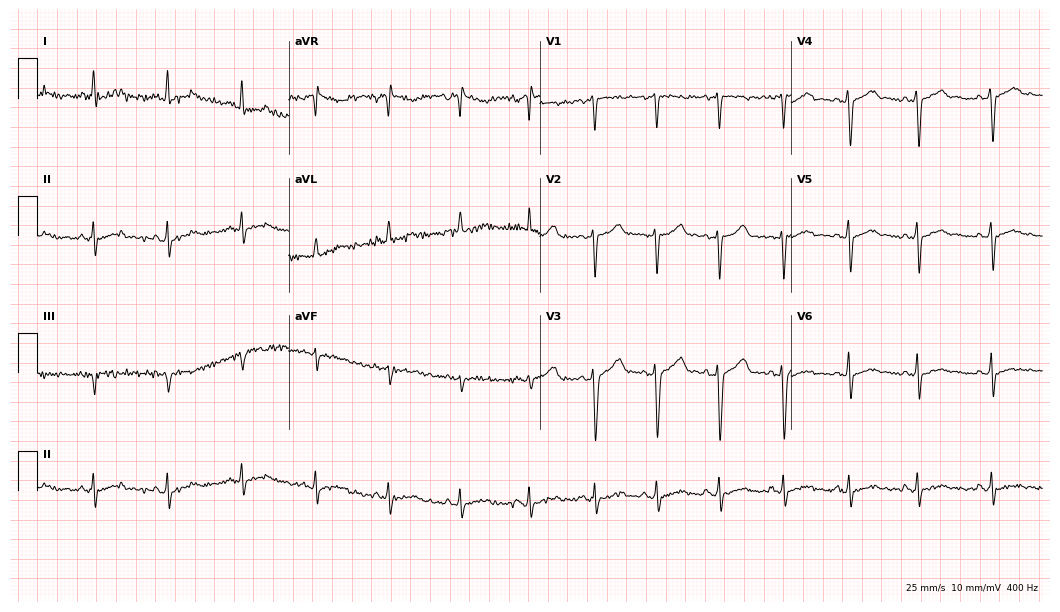
ECG — a 30-year-old male patient. Screened for six findings — first-degree AV block, right bundle branch block (RBBB), left bundle branch block (LBBB), sinus bradycardia, atrial fibrillation (AF), sinus tachycardia — none is recorded.